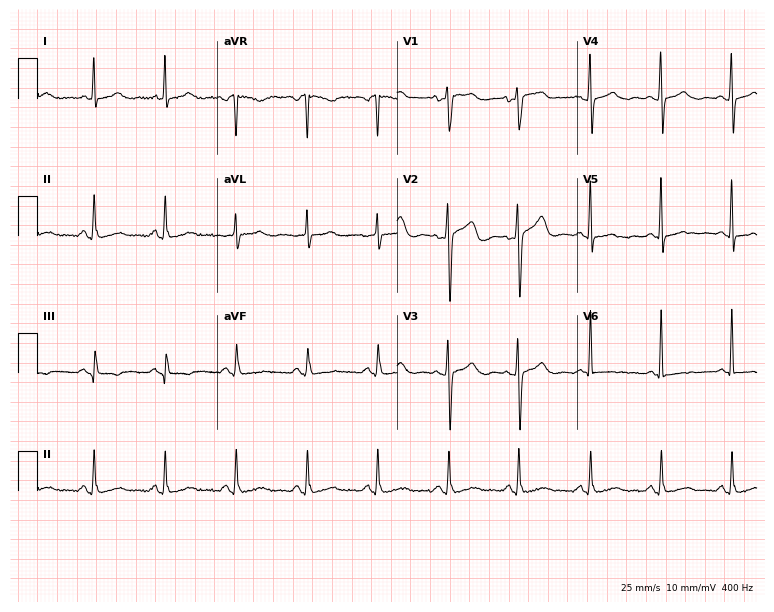
Standard 12-lead ECG recorded from a 56-year-old female patient (7.3-second recording at 400 Hz). None of these six findings is recorded: first-degree AV block, right bundle branch block, left bundle branch block, sinus bradycardia, atrial fibrillation, sinus tachycardia. Findings outside these six are not listed.